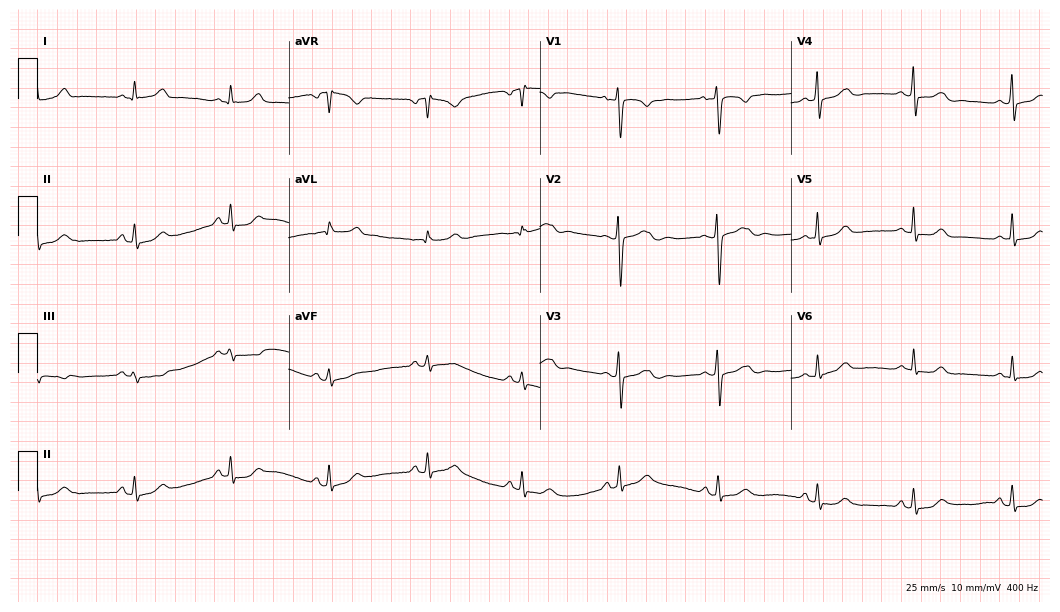
12-lead ECG from a female, 39 years old. No first-degree AV block, right bundle branch block, left bundle branch block, sinus bradycardia, atrial fibrillation or sinus tachycardia recorded for this tracing.